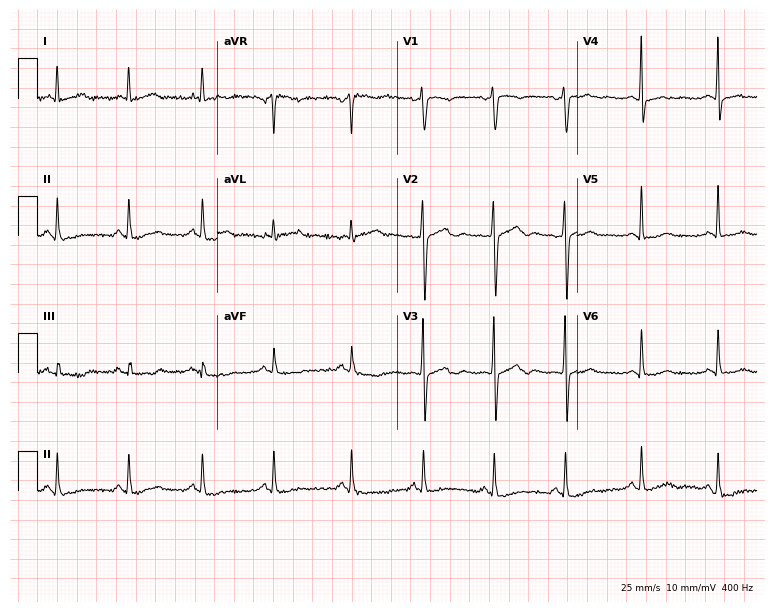
Resting 12-lead electrocardiogram (7.3-second recording at 400 Hz). Patient: a 35-year-old female. Read as a normal ECG.